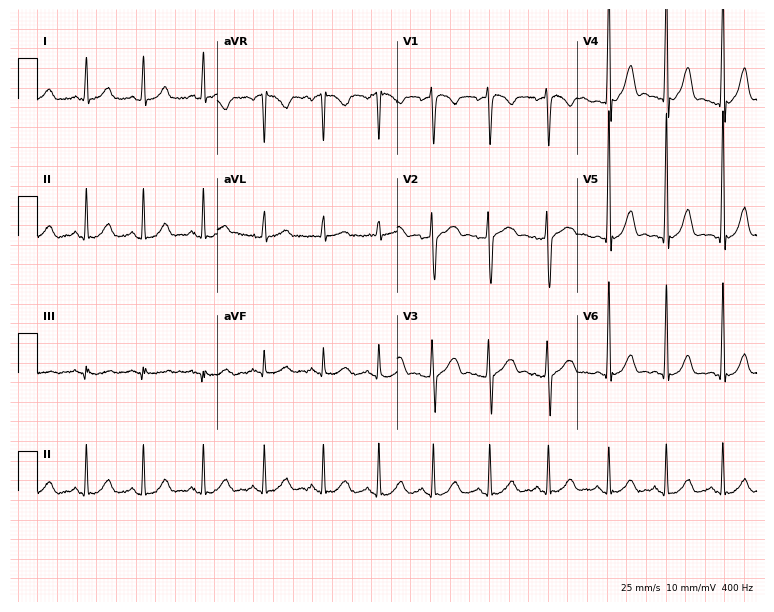
Standard 12-lead ECG recorded from a 53-year-old woman (7.3-second recording at 400 Hz). None of these six findings is recorded: first-degree AV block, right bundle branch block, left bundle branch block, sinus bradycardia, atrial fibrillation, sinus tachycardia.